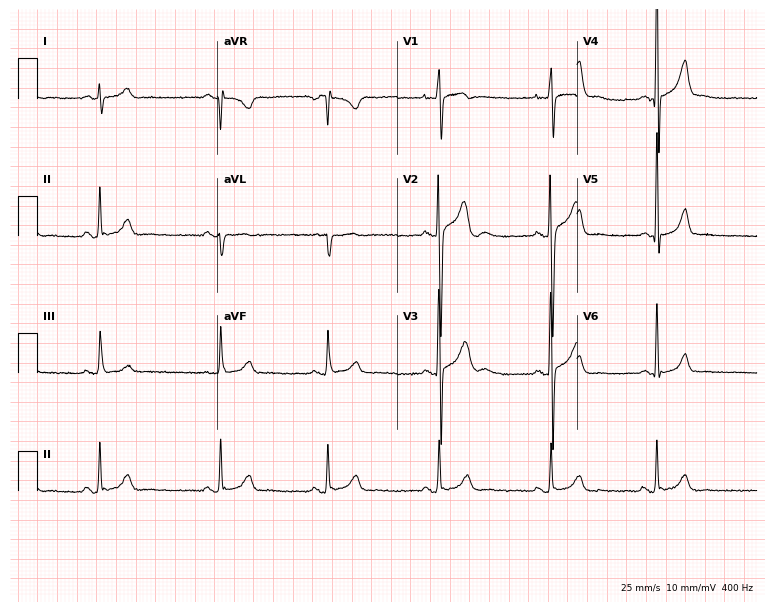
12-lead ECG from a male patient, 17 years old. Recorded interpretation: within normal limits.